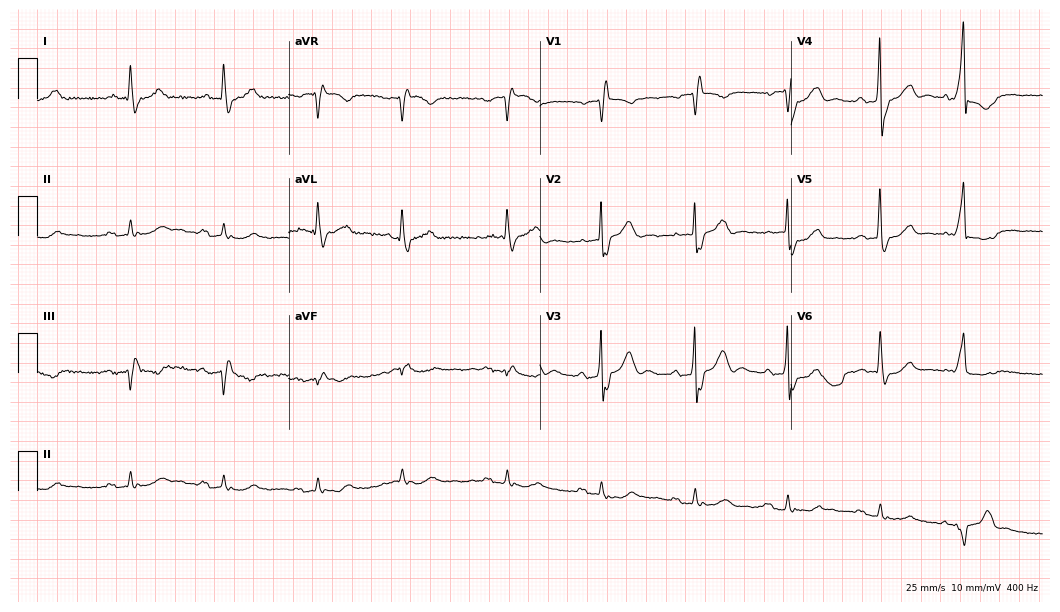
Standard 12-lead ECG recorded from a man, 81 years old. The tracing shows right bundle branch block.